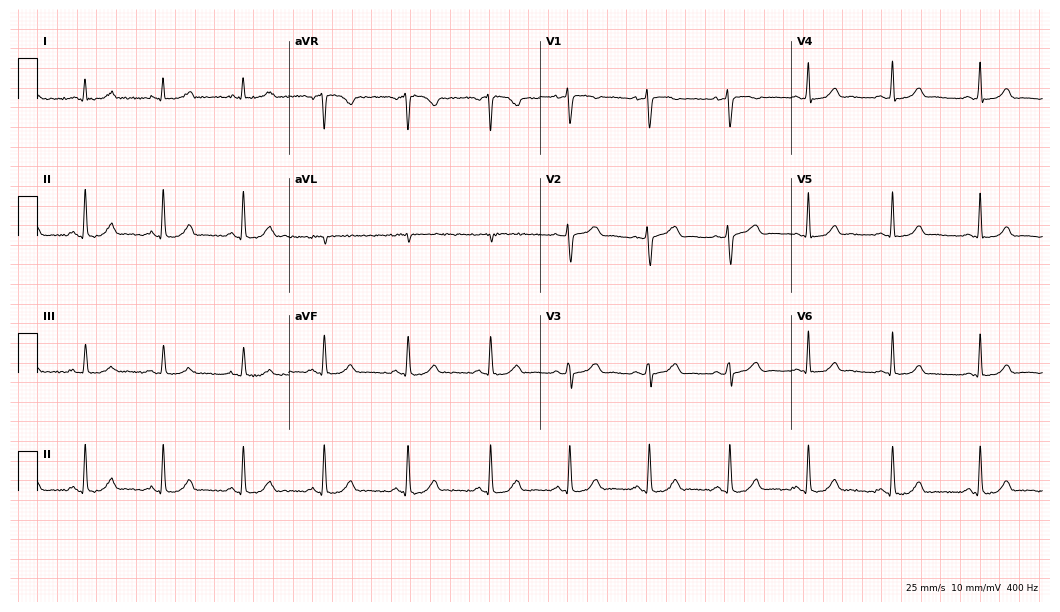
12-lead ECG from a 34-year-old female. Recorded interpretation: within normal limits.